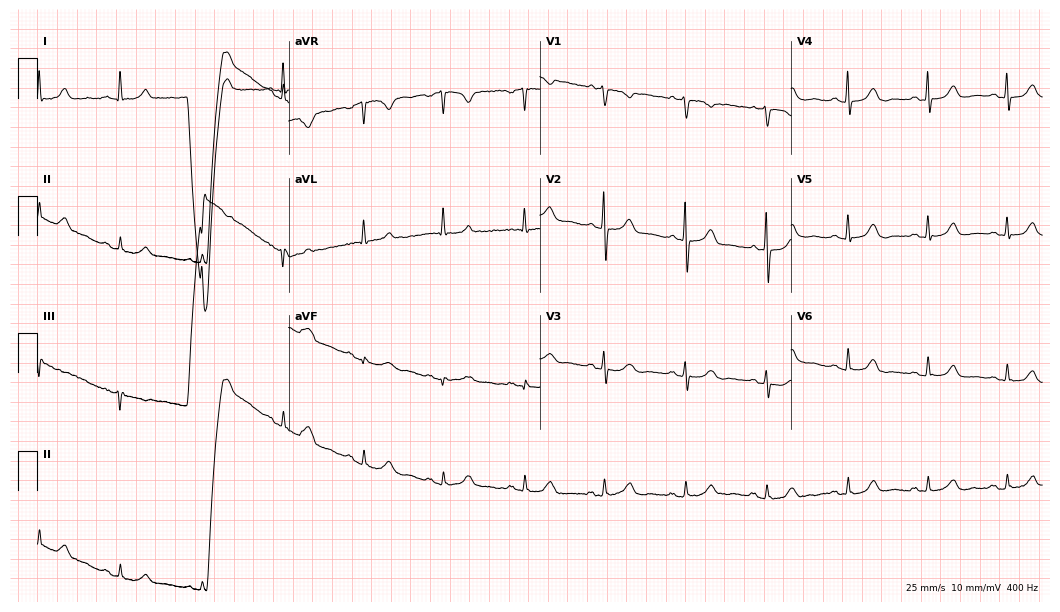
ECG (10.2-second recording at 400 Hz) — a female patient, 83 years old. Labelled as a normal ECG.